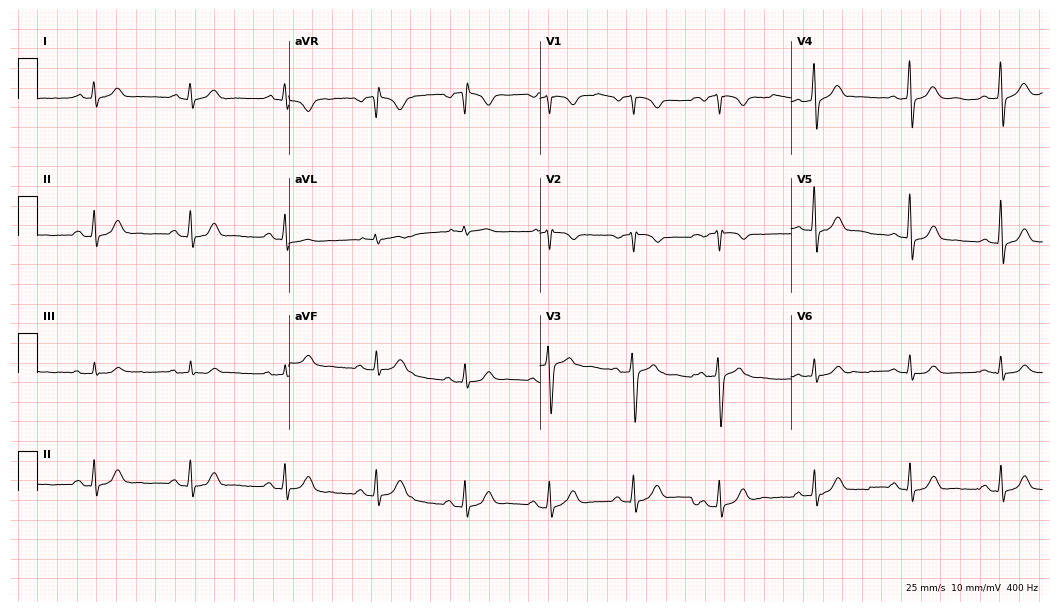
Standard 12-lead ECG recorded from a male, 51 years old. Read as a normal ECG.